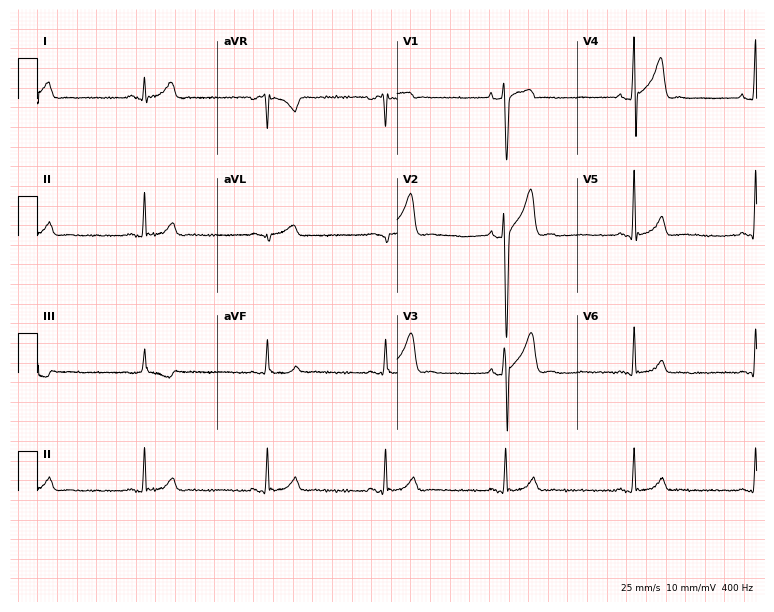
12-lead ECG from a male, 25 years old (7.3-second recording at 400 Hz). Shows sinus bradycardia (a sinus rate of 50 beats per minute or less).